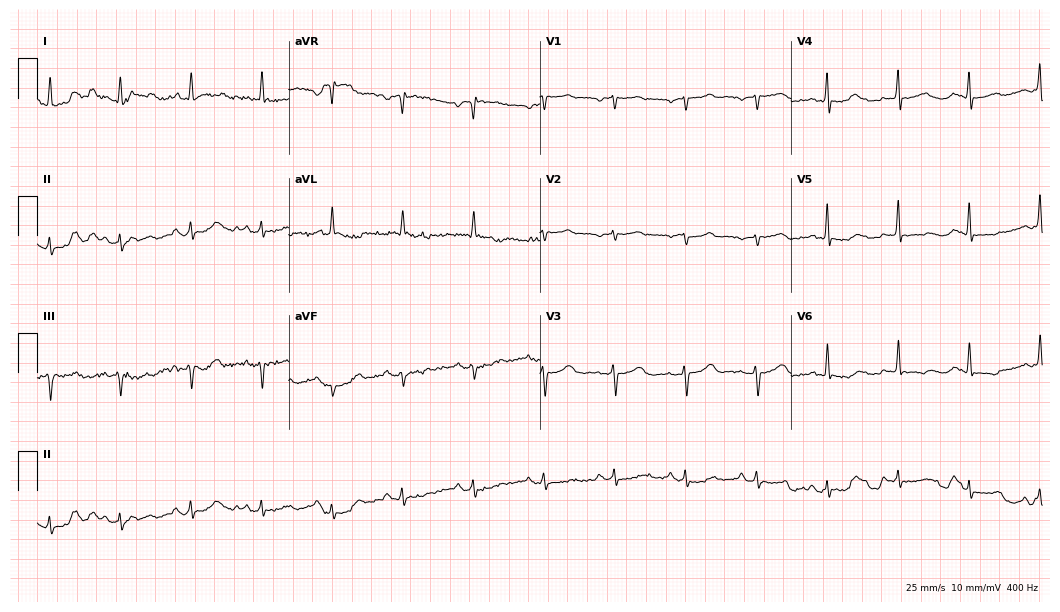
Standard 12-lead ECG recorded from a female, 84 years old. None of these six findings is recorded: first-degree AV block, right bundle branch block, left bundle branch block, sinus bradycardia, atrial fibrillation, sinus tachycardia.